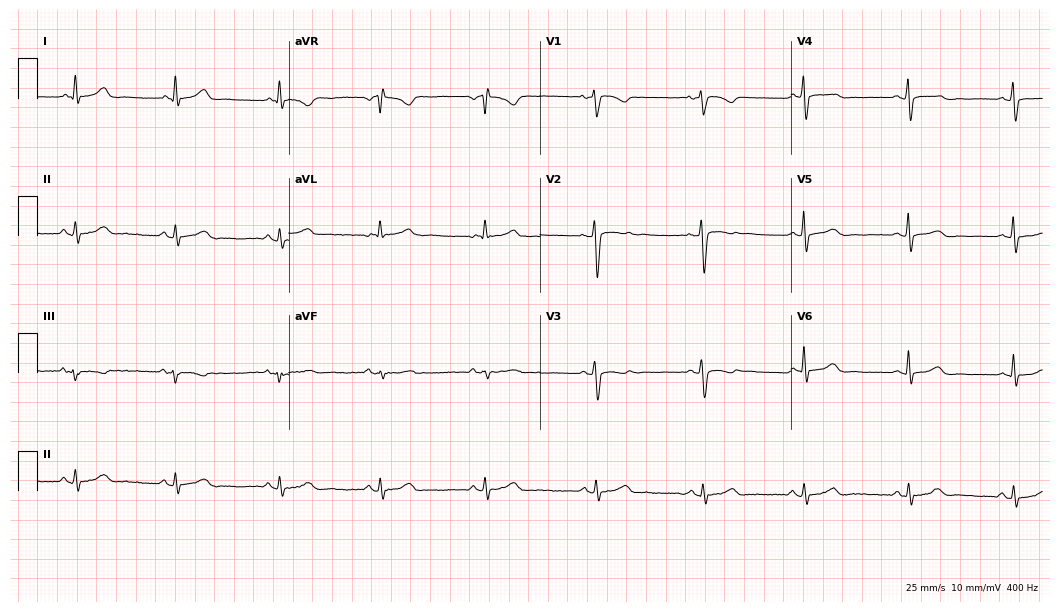
ECG — a 49-year-old male patient. Screened for six findings — first-degree AV block, right bundle branch block (RBBB), left bundle branch block (LBBB), sinus bradycardia, atrial fibrillation (AF), sinus tachycardia — none is recorded. Only these six findings were labelled.